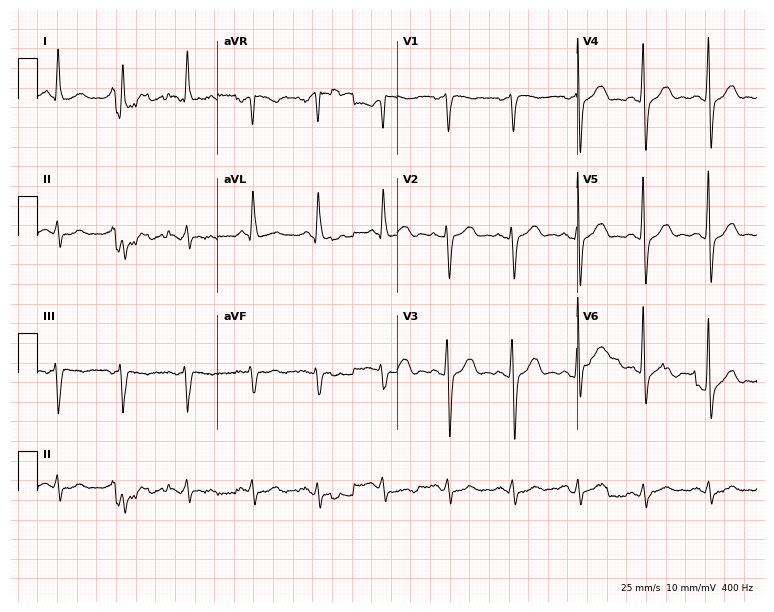
12-lead ECG from a 62-year-old man (7.3-second recording at 400 Hz). No first-degree AV block, right bundle branch block (RBBB), left bundle branch block (LBBB), sinus bradycardia, atrial fibrillation (AF) or sinus tachycardia recorded for this tracing. Other findings, if any, are not listed.